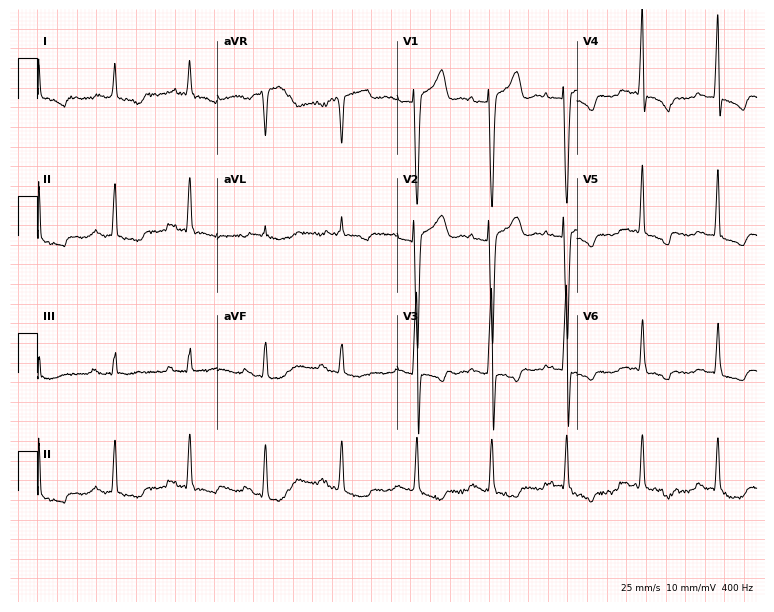
12-lead ECG (7.3-second recording at 400 Hz) from a 63-year-old male. Screened for six findings — first-degree AV block, right bundle branch block, left bundle branch block, sinus bradycardia, atrial fibrillation, sinus tachycardia — none is recorded.